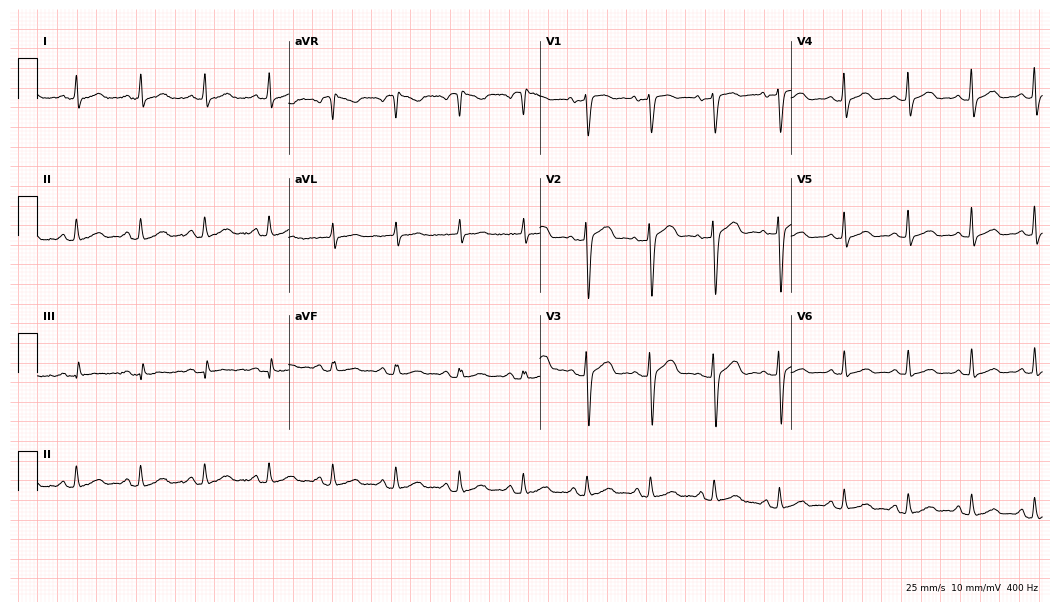
12-lead ECG from a woman, 55 years old. Recorded interpretation: within normal limits.